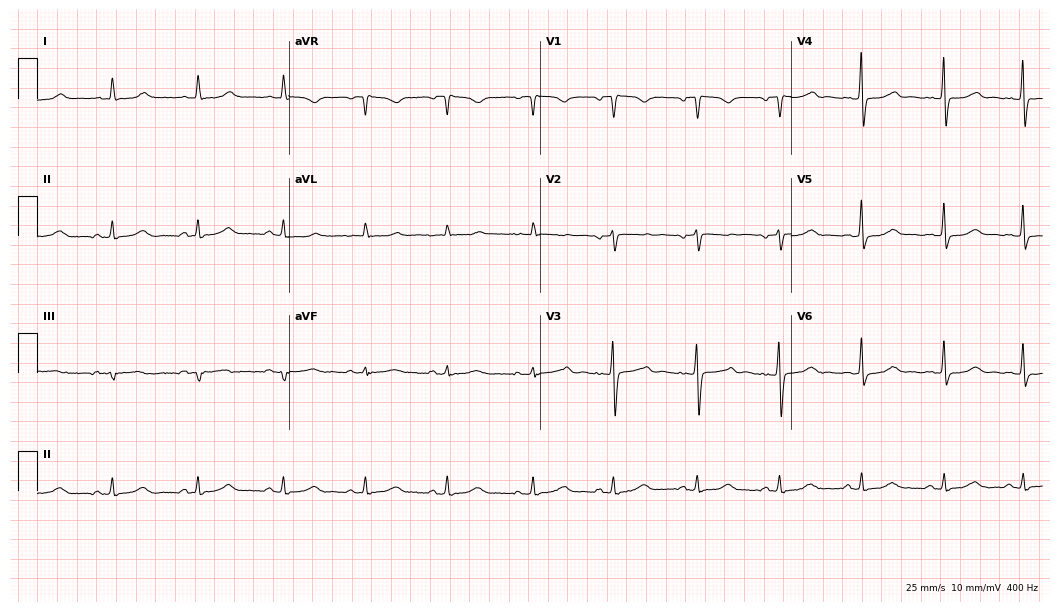
Resting 12-lead electrocardiogram (10.2-second recording at 400 Hz). Patient: a female, 72 years old. Read as a normal ECG.